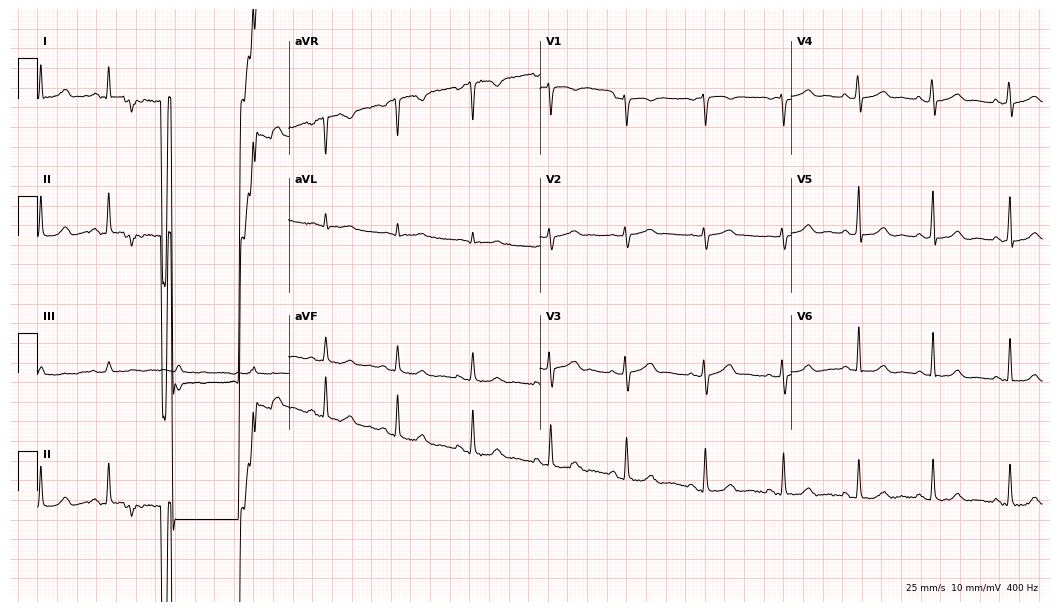
ECG — a 37-year-old female patient. Labelled as a normal ECG.